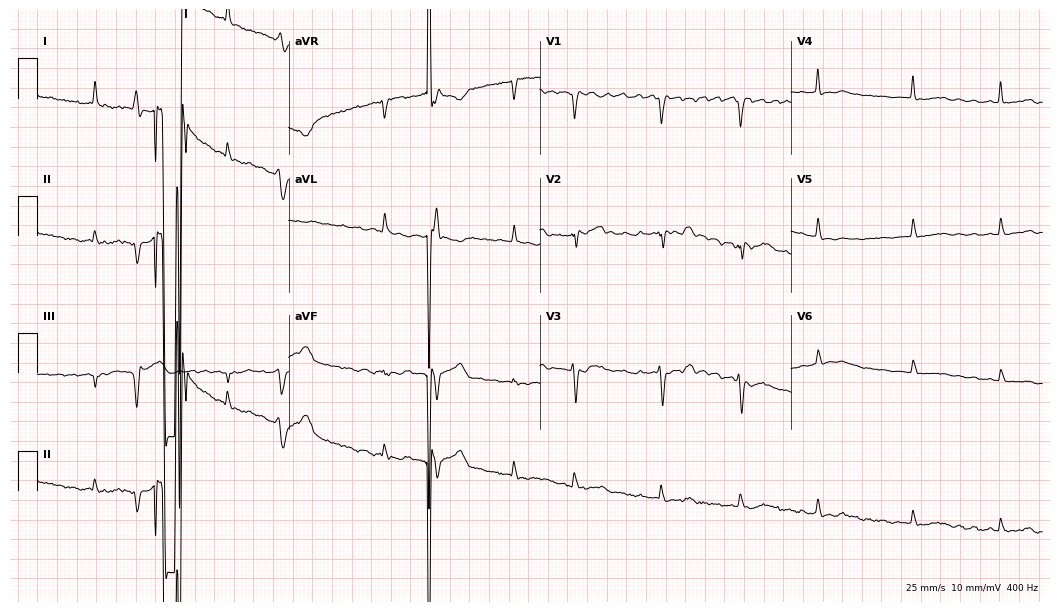
ECG (10.2-second recording at 400 Hz) — a female patient, 74 years old. Screened for six findings — first-degree AV block, right bundle branch block, left bundle branch block, sinus bradycardia, atrial fibrillation, sinus tachycardia — none is recorded.